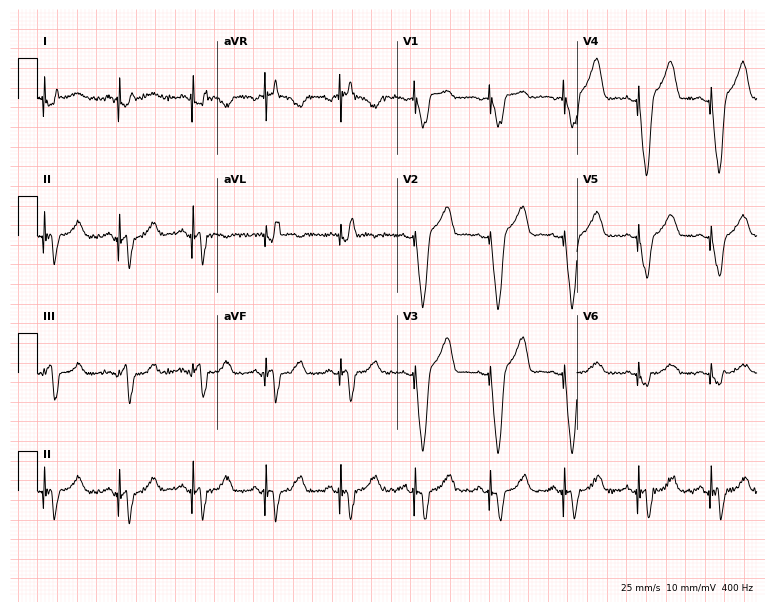
12-lead ECG from a 75-year-old female. No first-degree AV block, right bundle branch block, left bundle branch block, sinus bradycardia, atrial fibrillation or sinus tachycardia recorded for this tracing. Other findings, if any, are not listed.